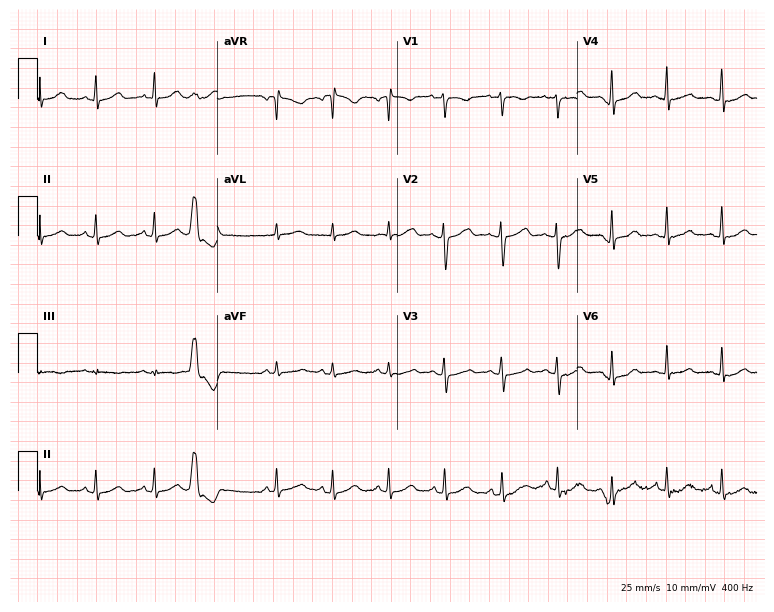
Resting 12-lead electrocardiogram (7.3-second recording at 400 Hz). Patient: a 38-year-old female. The tracing shows sinus tachycardia (a sinus rate of 100 beats per minute or more).